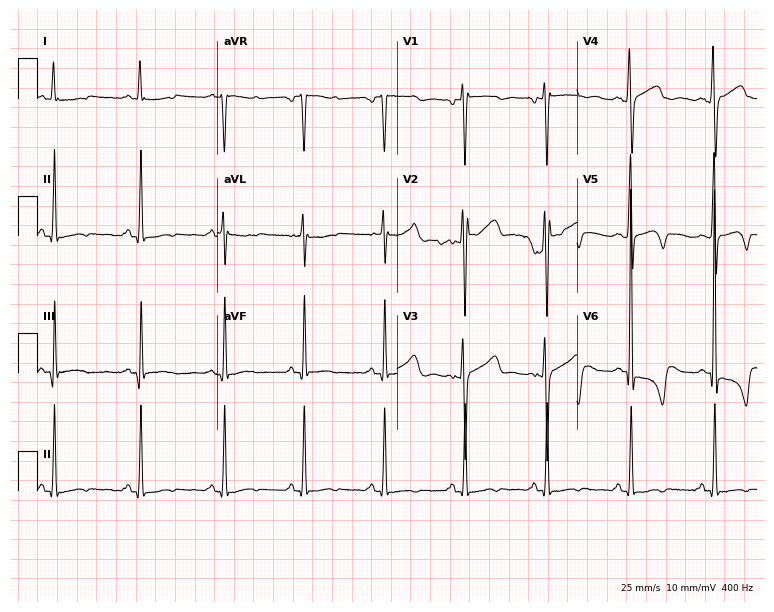
12-lead ECG (7.3-second recording at 400 Hz) from a 27-year-old female. Screened for six findings — first-degree AV block, right bundle branch block, left bundle branch block, sinus bradycardia, atrial fibrillation, sinus tachycardia — none is recorded.